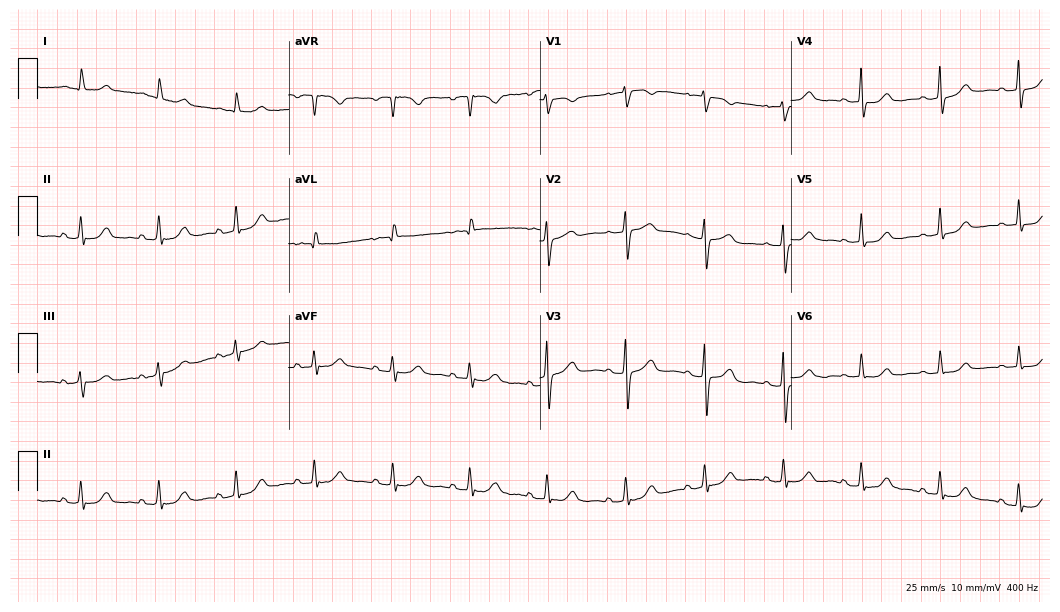
Electrocardiogram (10.2-second recording at 400 Hz), a 77-year-old woman. Of the six screened findings (first-degree AV block, right bundle branch block (RBBB), left bundle branch block (LBBB), sinus bradycardia, atrial fibrillation (AF), sinus tachycardia), none is recorded. Only these six findings were labelled.